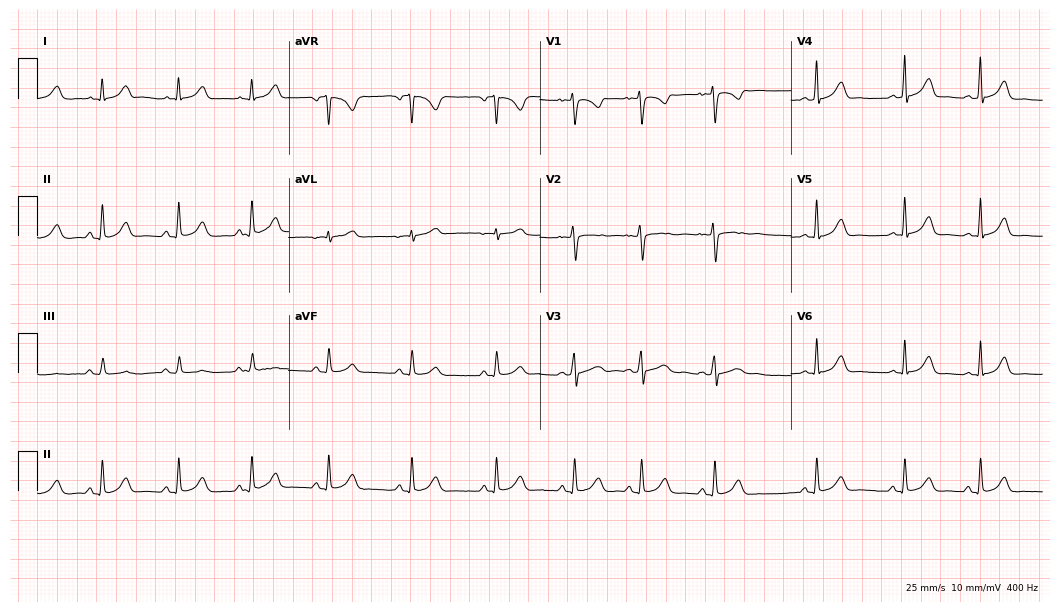
Standard 12-lead ECG recorded from a woman, 24 years old. Read as a normal ECG.